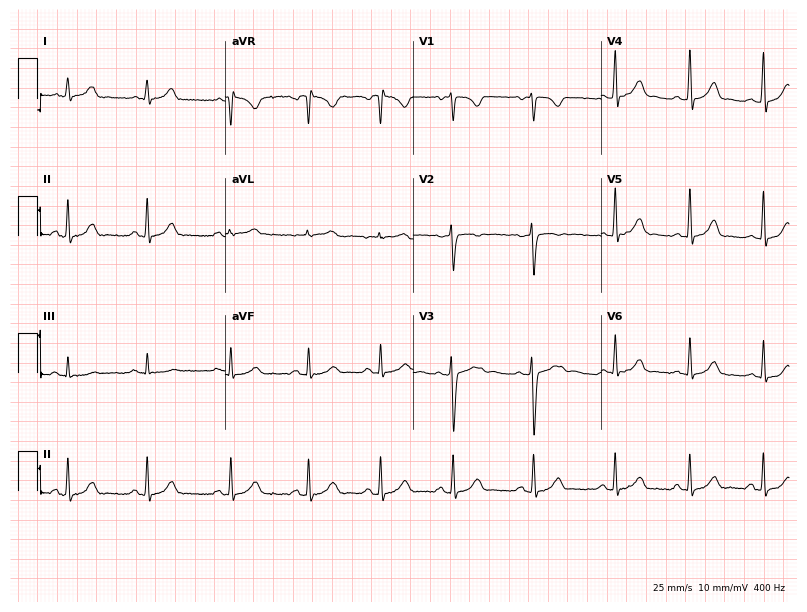
Resting 12-lead electrocardiogram. Patient: a female, 19 years old. Read as a normal ECG.